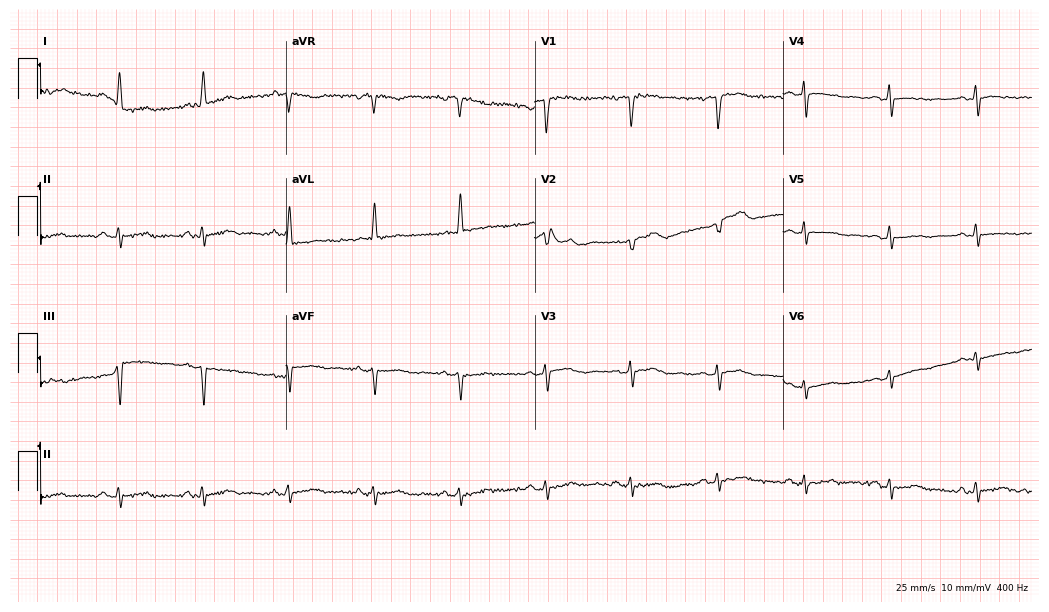
Resting 12-lead electrocardiogram (10.1-second recording at 400 Hz). Patient: a woman, 68 years old. None of these six findings is recorded: first-degree AV block, right bundle branch block, left bundle branch block, sinus bradycardia, atrial fibrillation, sinus tachycardia.